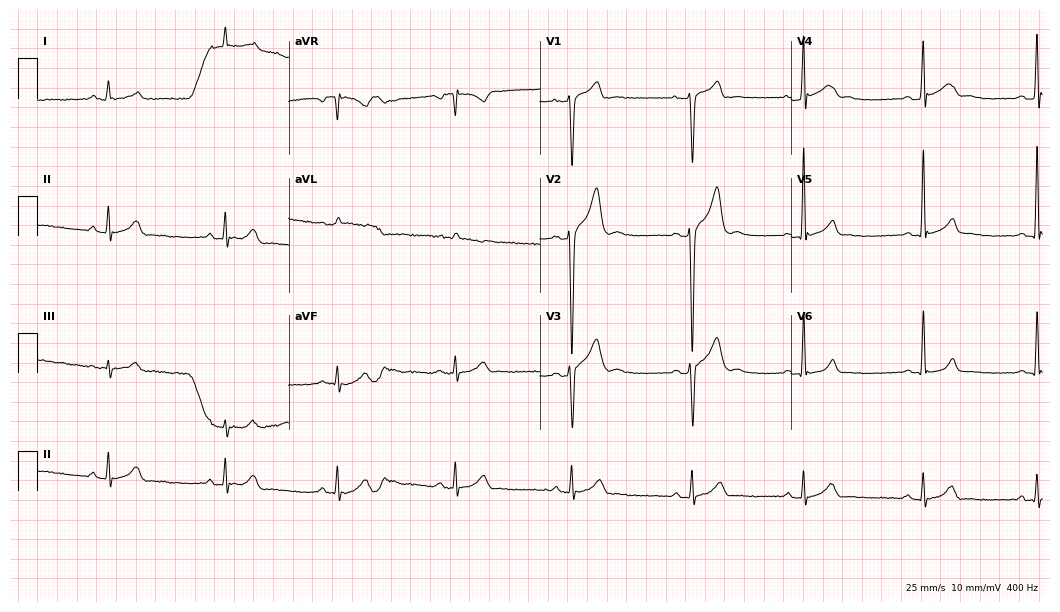
Electrocardiogram (10.2-second recording at 400 Hz), a 21-year-old man. Overall reading on record: normal ECG.